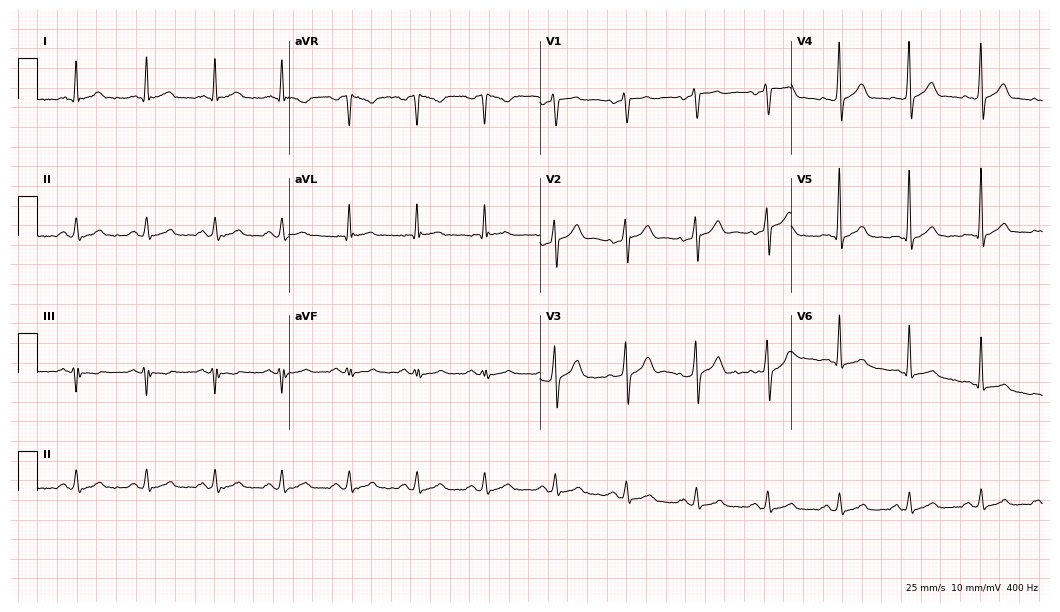
Electrocardiogram (10.2-second recording at 400 Hz), a 42-year-old male patient. Overall reading on record: normal ECG.